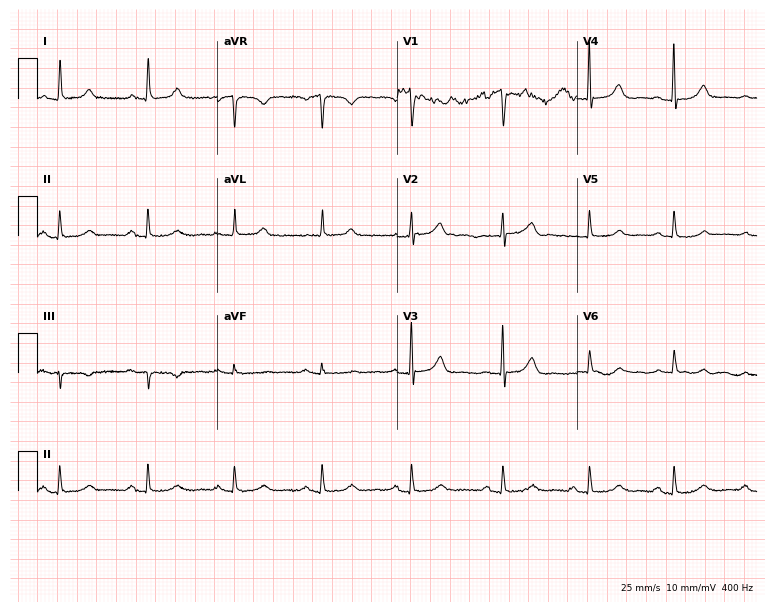
12-lead ECG from a 74-year-old female patient. Recorded interpretation: within normal limits.